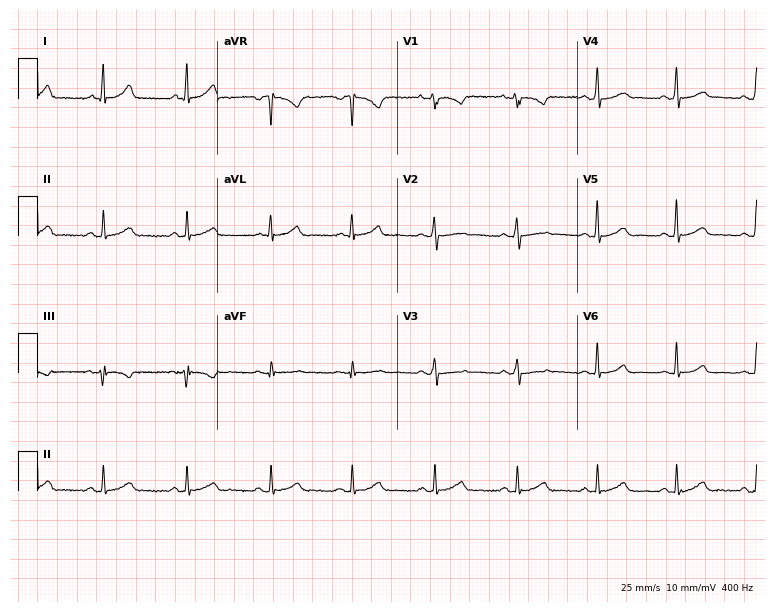
12-lead ECG (7.3-second recording at 400 Hz) from a woman, 54 years old. Labelled as a normal ECG.